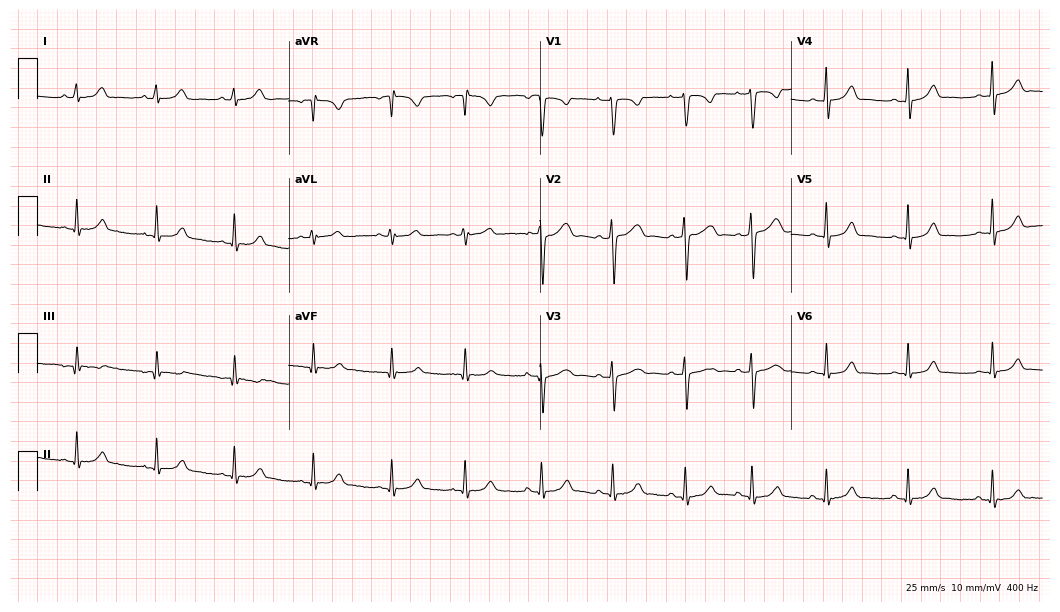
ECG (10.2-second recording at 400 Hz) — a 19-year-old female. Labelled as a normal ECG.